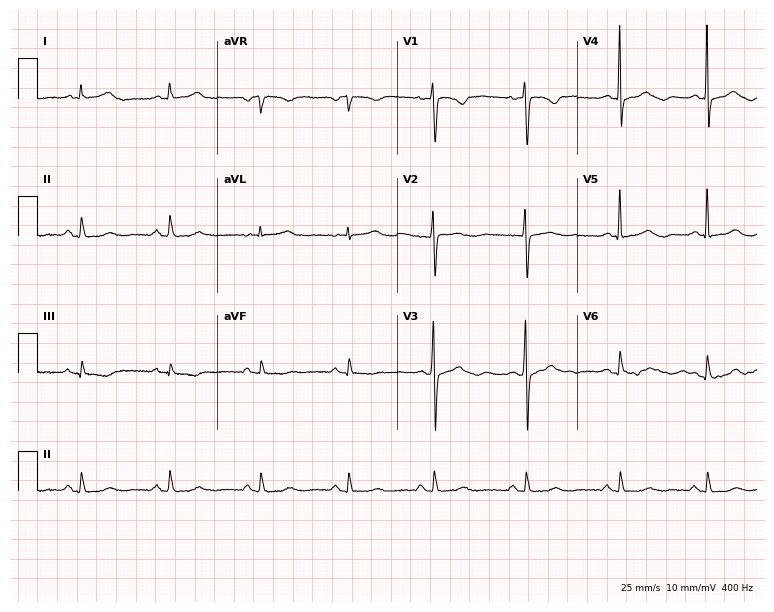
Standard 12-lead ECG recorded from a 42-year-old female. Read as a normal ECG.